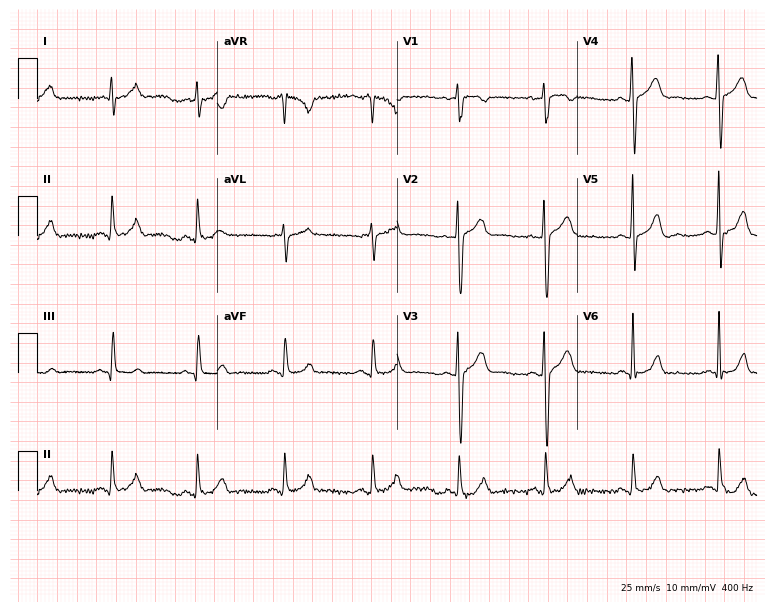
12-lead ECG from a man, 39 years old. Recorded interpretation: within normal limits.